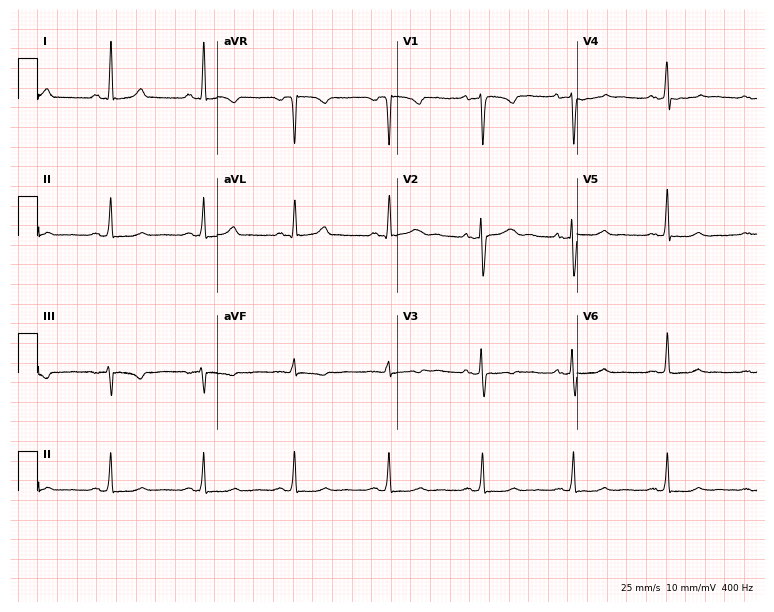
12-lead ECG from a female, 46 years old. No first-degree AV block, right bundle branch block (RBBB), left bundle branch block (LBBB), sinus bradycardia, atrial fibrillation (AF) or sinus tachycardia recorded for this tracing.